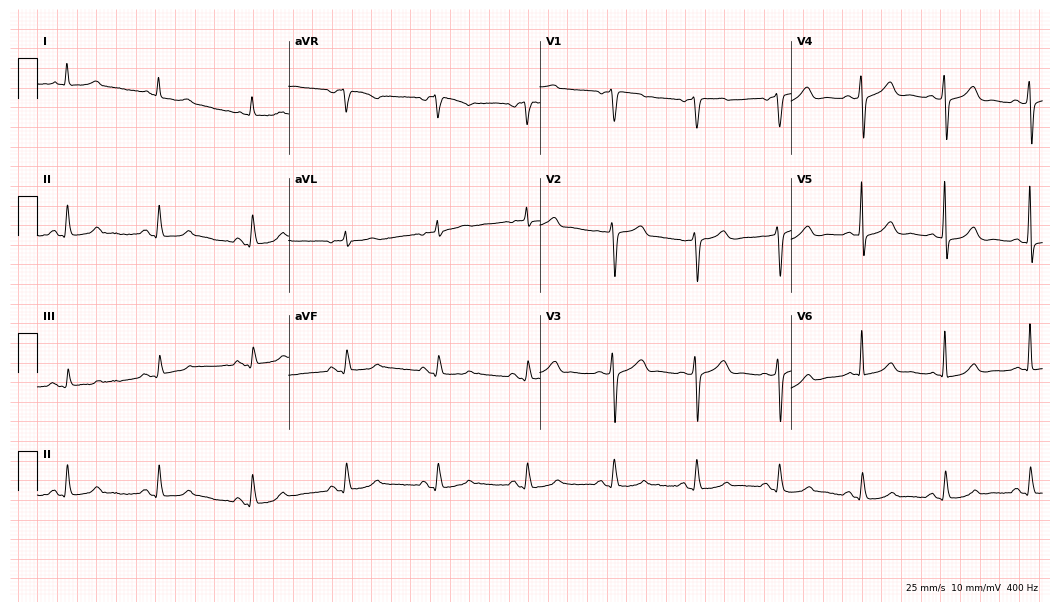
Standard 12-lead ECG recorded from a 69-year-old female patient (10.2-second recording at 400 Hz). Read as a normal ECG.